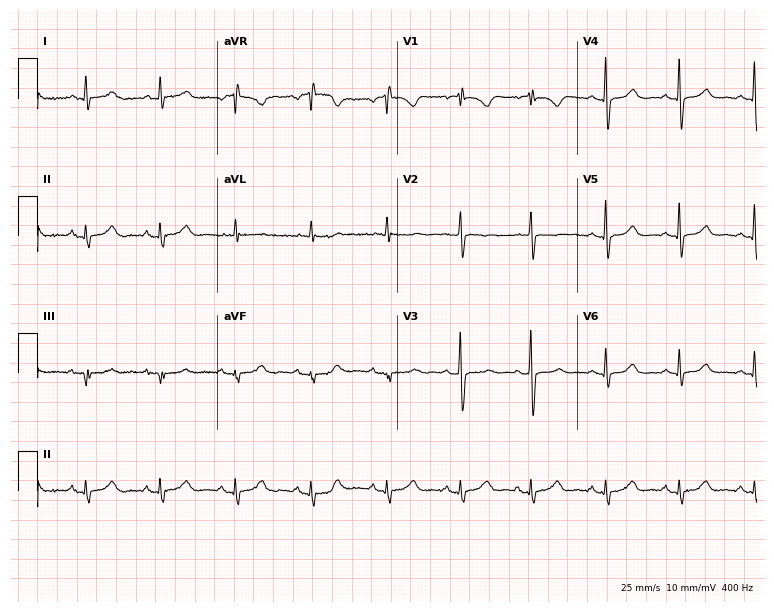
Standard 12-lead ECG recorded from a woman, 51 years old. Read as a normal ECG.